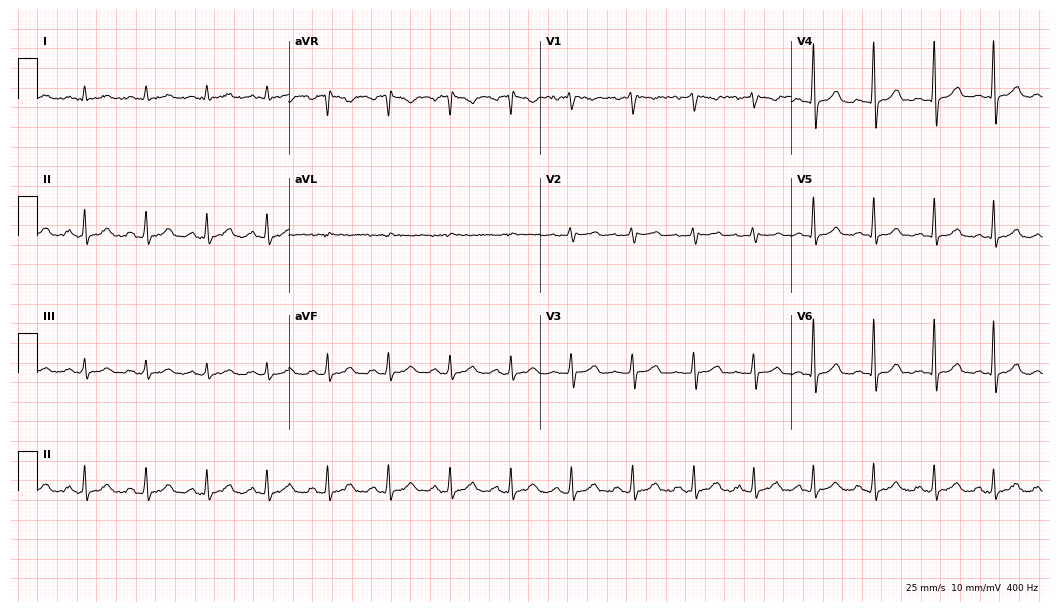
12-lead ECG (10.2-second recording at 400 Hz) from a 57-year-old female patient. Screened for six findings — first-degree AV block, right bundle branch block, left bundle branch block, sinus bradycardia, atrial fibrillation, sinus tachycardia — none is recorded.